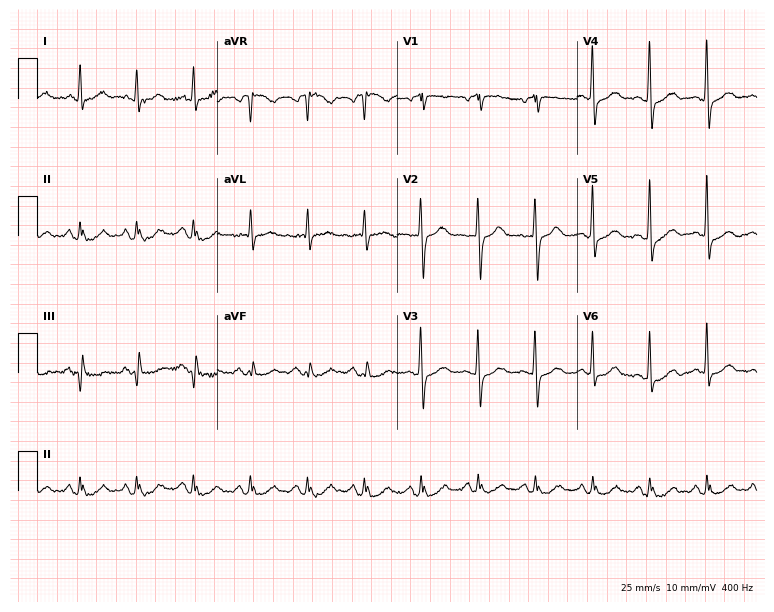
ECG — a 76-year-old female patient. Findings include sinus tachycardia (a sinus rate of 100 beats per minute or more).